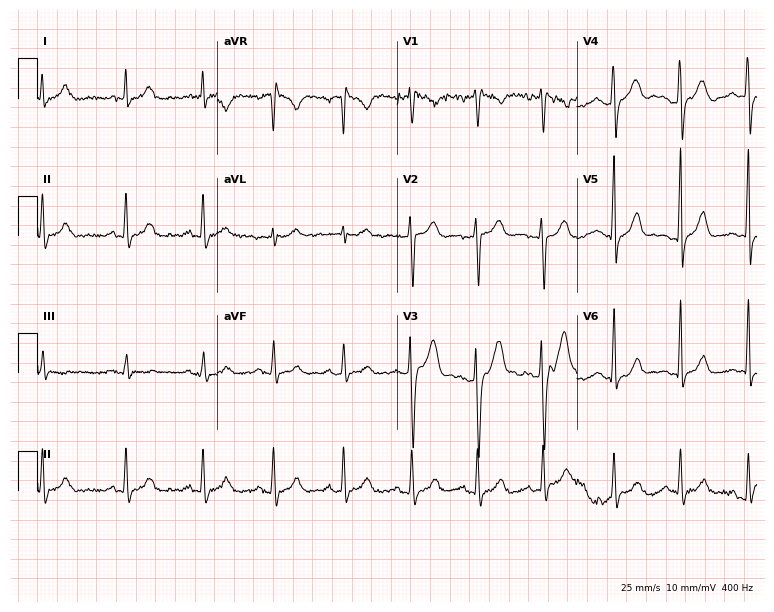
12-lead ECG (7.3-second recording at 400 Hz) from a 28-year-old man. Labelled as a normal ECG.